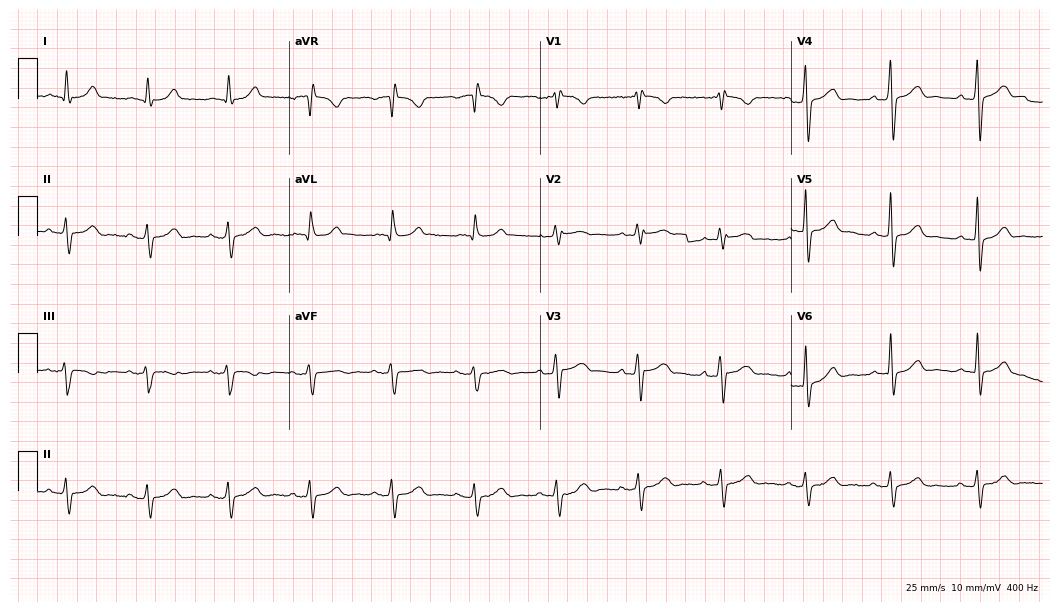
12-lead ECG from a man, 66 years old. Labelled as a normal ECG.